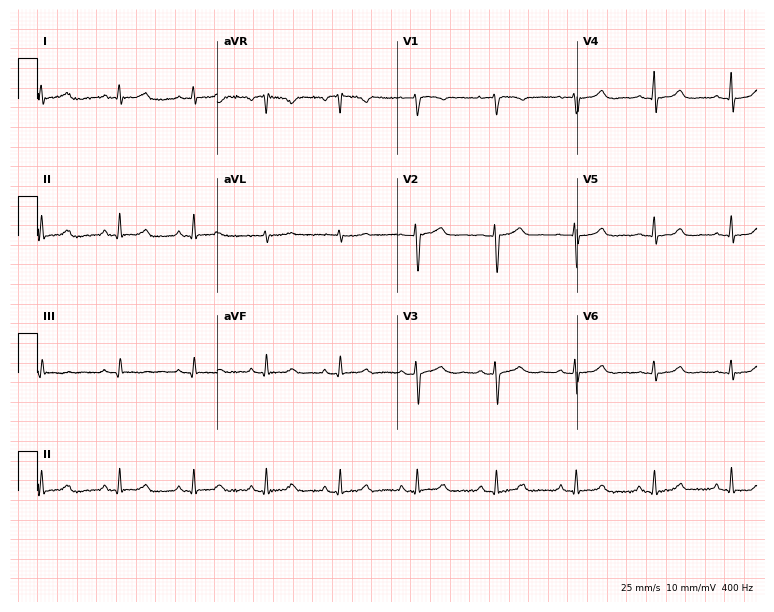
Standard 12-lead ECG recorded from a female, 36 years old. Read as a normal ECG.